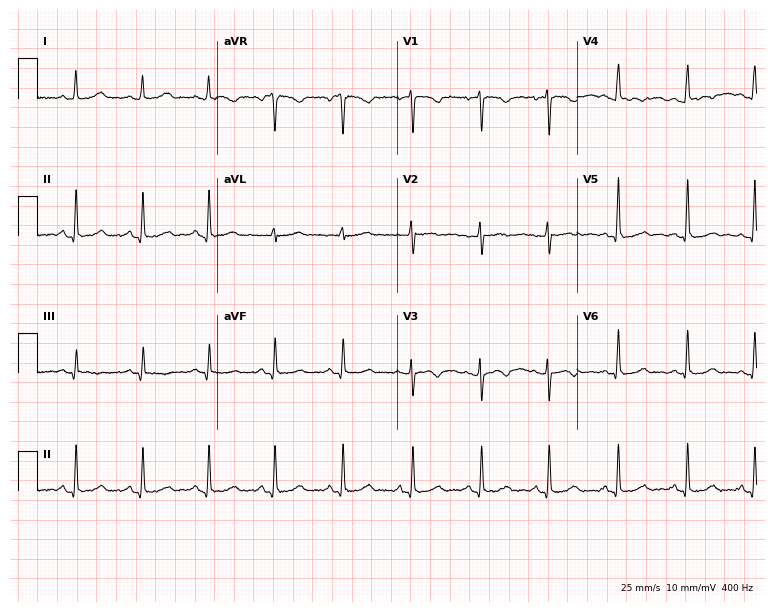
Resting 12-lead electrocardiogram (7.3-second recording at 400 Hz). Patient: a female, 39 years old. None of these six findings is recorded: first-degree AV block, right bundle branch block, left bundle branch block, sinus bradycardia, atrial fibrillation, sinus tachycardia. Other findings, if any, are not listed.